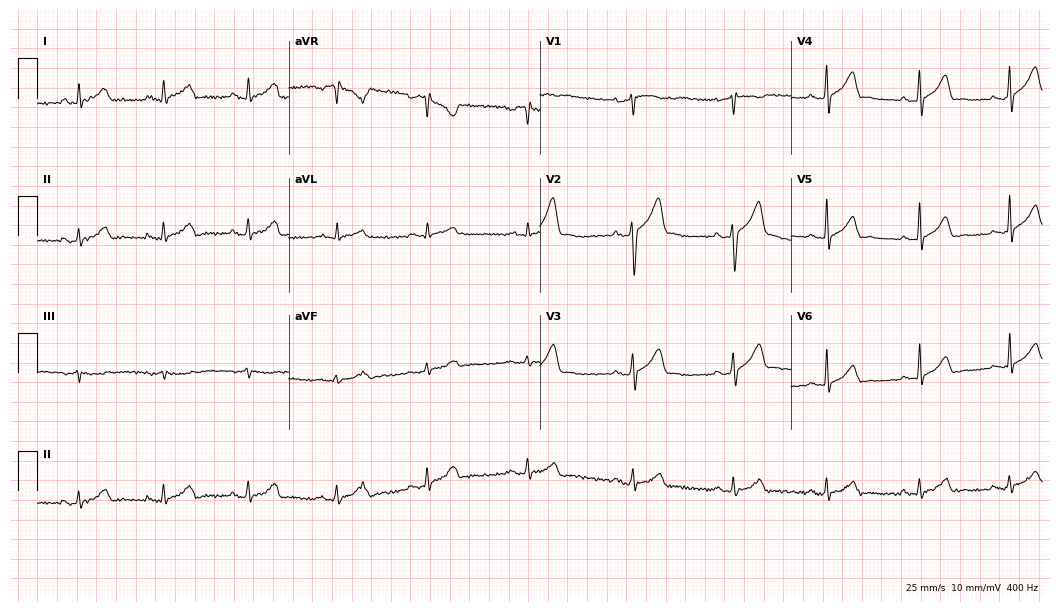
12-lead ECG from a 31-year-old man. Labelled as a normal ECG.